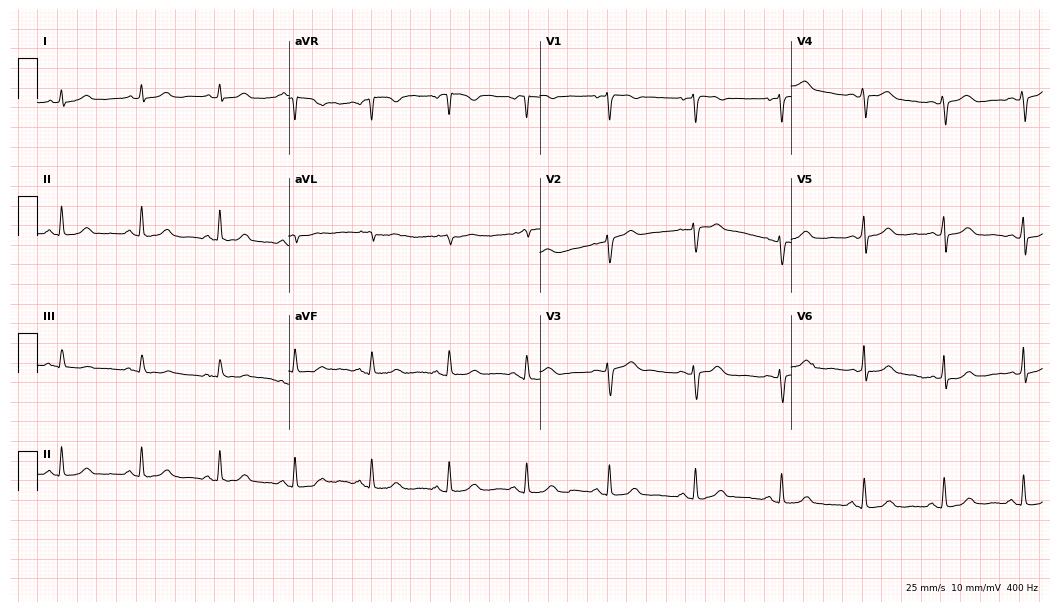
Resting 12-lead electrocardiogram. Patient: a female, 53 years old. None of these six findings is recorded: first-degree AV block, right bundle branch block (RBBB), left bundle branch block (LBBB), sinus bradycardia, atrial fibrillation (AF), sinus tachycardia. Other findings, if any, are not listed.